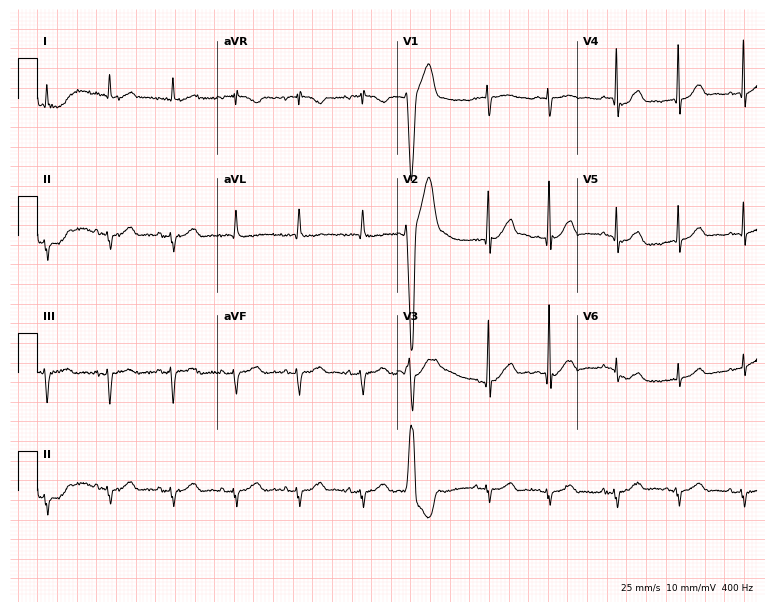
12-lead ECG from a female, 84 years old. Screened for six findings — first-degree AV block, right bundle branch block, left bundle branch block, sinus bradycardia, atrial fibrillation, sinus tachycardia — none is recorded. Other findings, if any, are not listed.